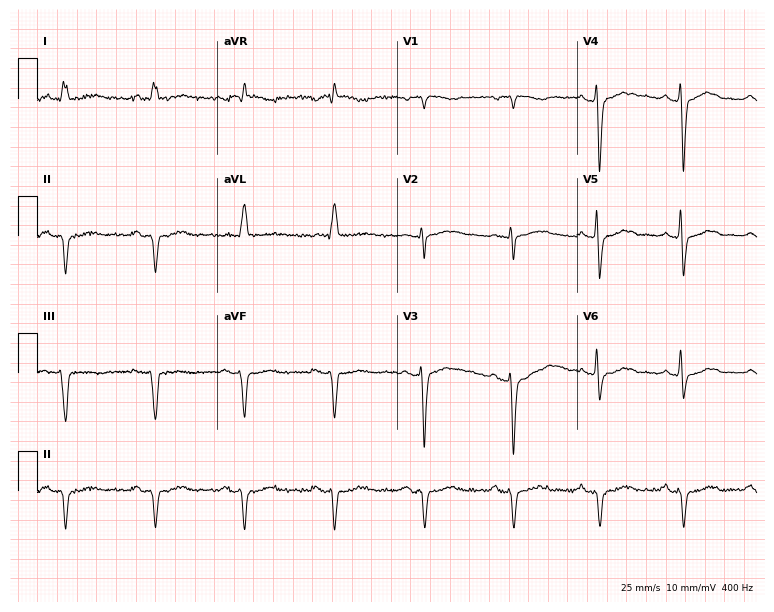
Standard 12-lead ECG recorded from a 67-year-old male (7.3-second recording at 400 Hz). None of these six findings is recorded: first-degree AV block, right bundle branch block (RBBB), left bundle branch block (LBBB), sinus bradycardia, atrial fibrillation (AF), sinus tachycardia. Findings outside these six are not listed.